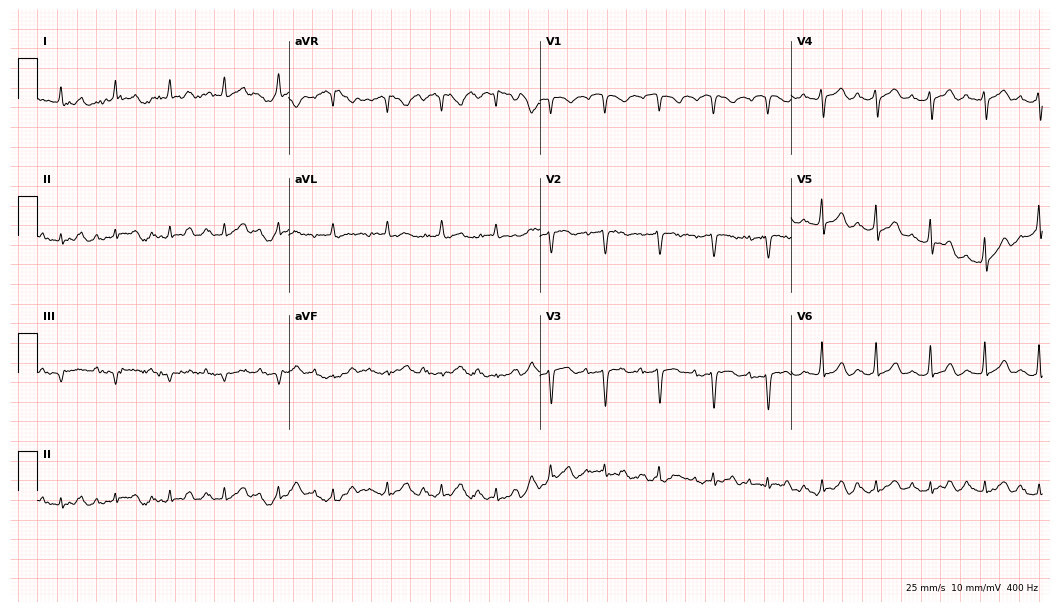
ECG — a female patient, 84 years old. Screened for six findings — first-degree AV block, right bundle branch block (RBBB), left bundle branch block (LBBB), sinus bradycardia, atrial fibrillation (AF), sinus tachycardia — none is recorded.